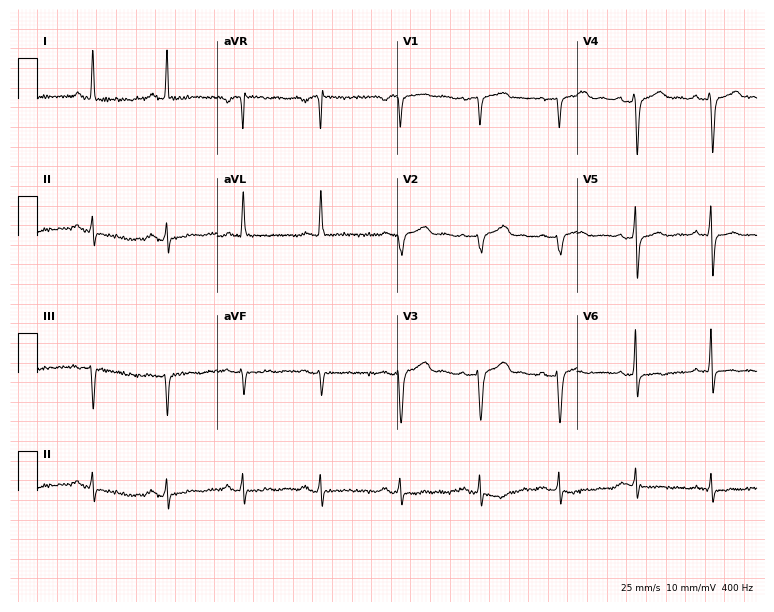
12-lead ECG from a 75-year-old female. No first-degree AV block, right bundle branch block, left bundle branch block, sinus bradycardia, atrial fibrillation or sinus tachycardia recorded for this tracing.